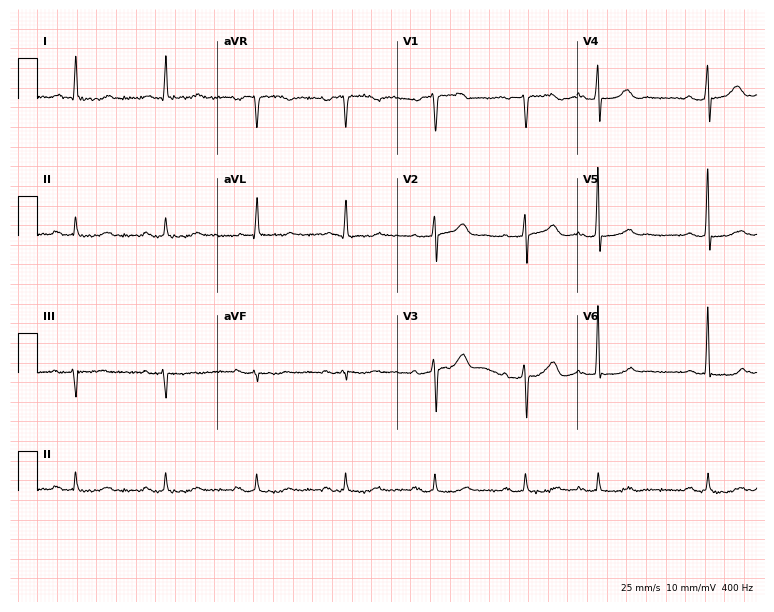
ECG — a 70-year-old male. Screened for six findings — first-degree AV block, right bundle branch block, left bundle branch block, sinus bradycardia, atrial fibrillation, sinus tachycardia — none is recorded.